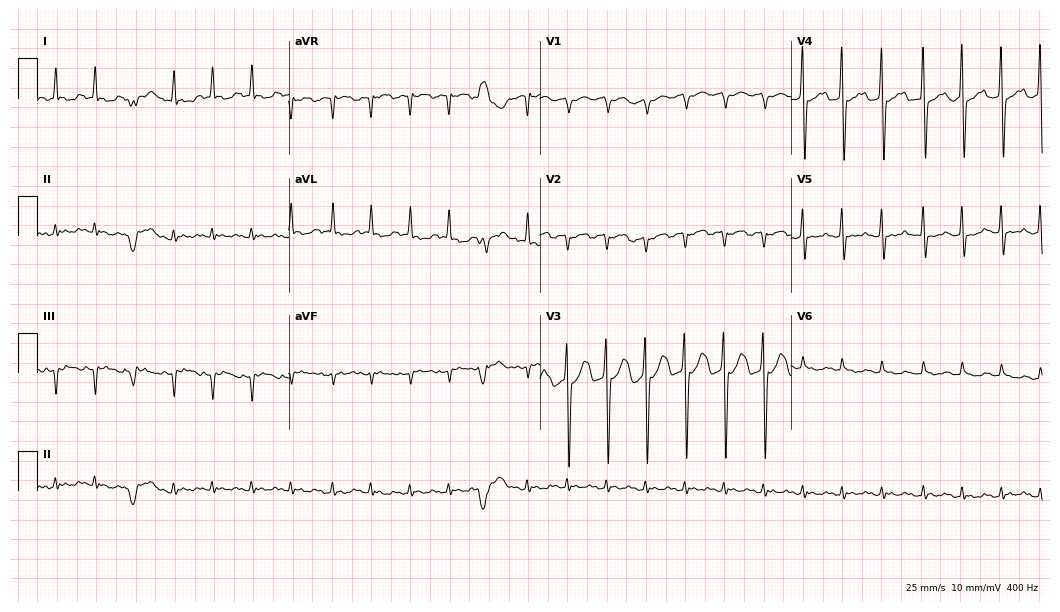
Electrocardiogram, a male patient, 83 years old. Of the six screened findings (first-degree AV block, right bundle branch block (RBBB), left bundle branch block (LBBB), sinus bradycardia, atrial fibrillation (AF), sinus tachycardia), none is recorded.